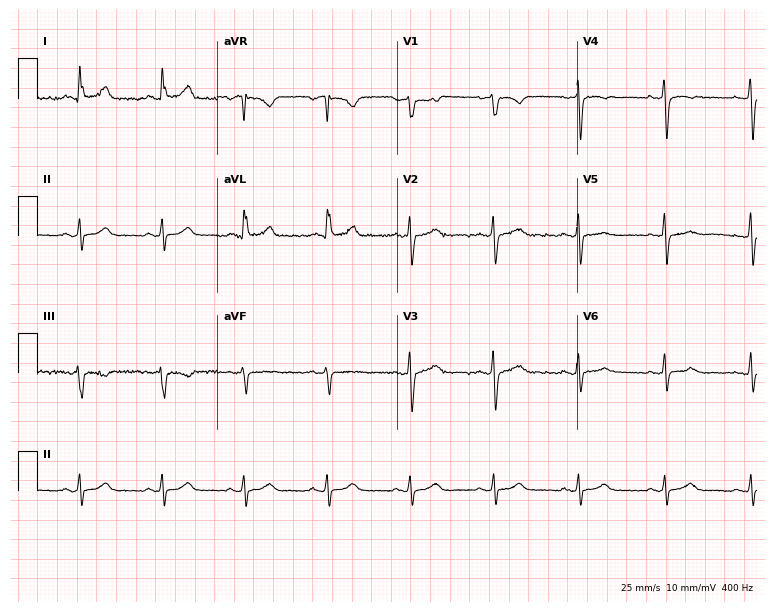
12-lead ECG from a 47-year-old female patient. Labelled as a normal ECG.